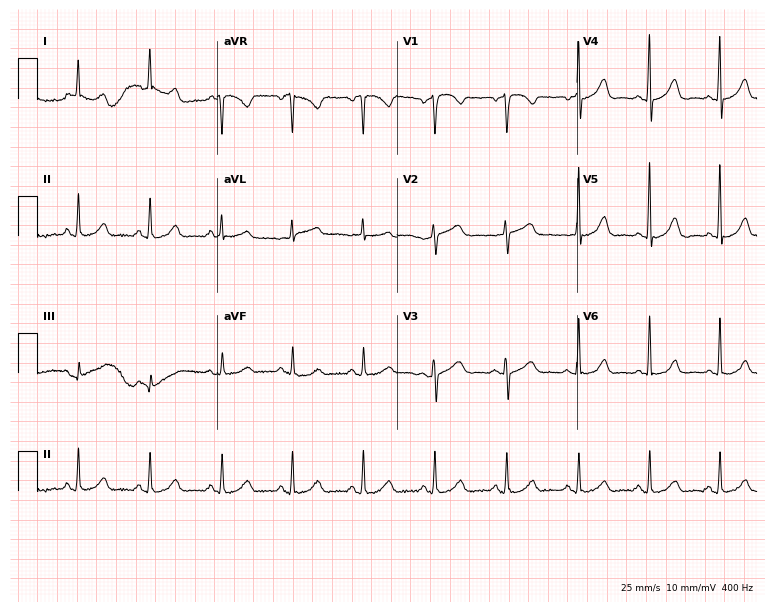
12-lead ECG (7.3-second recording at 400 Hz) from a woman, 62 years old. Labelled as a normal ECG.